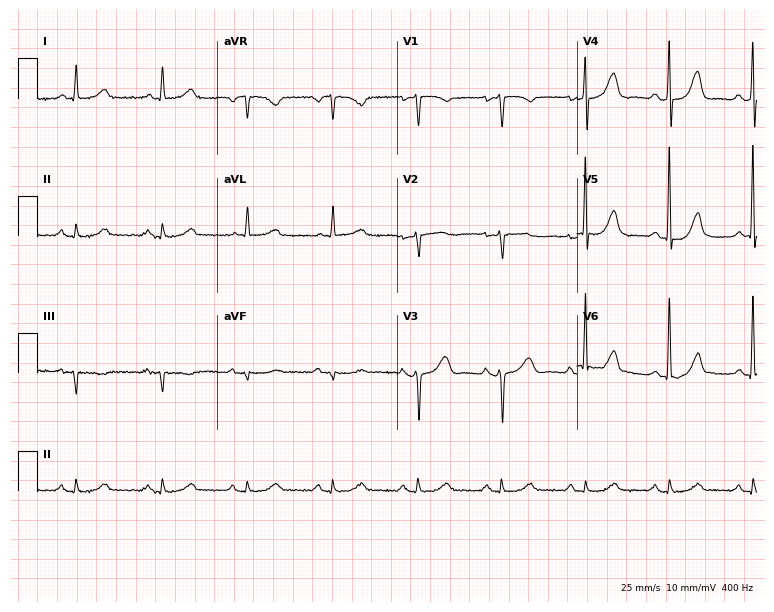
ECG (7.3-second recording at 400 Hz) — a woman, 80 years old. Screened for six findings — first-degree AV block, right bundle branch block, left bundle branch block, sinus bradycardia, atrial fibrillation, sinus tachycardia — none is recorded. Only these six findings were labelled.